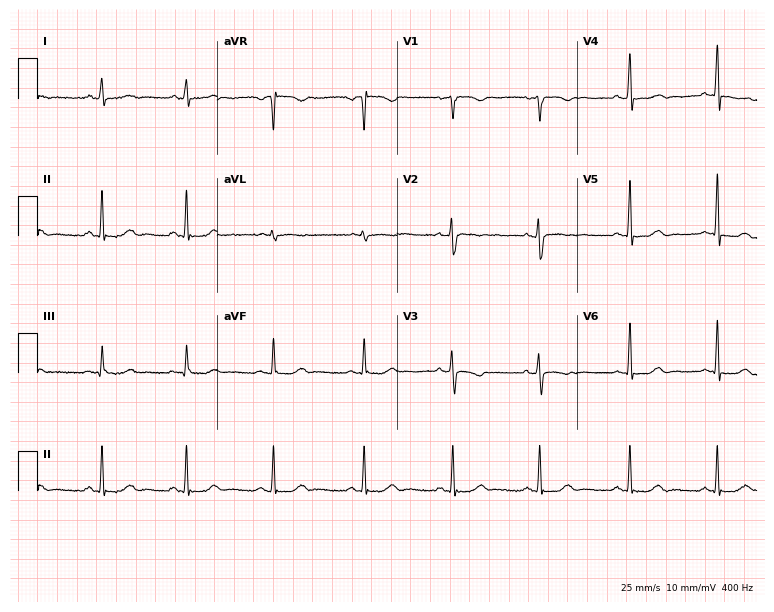
ECG — a woman, 27 years old. Screened for six findings — first-degree AV block, right bundle branch block (RBBB), left bundle branch block (LBBB), sinus bradycardia, atrial fibrillation (AF), sinus tachycardia — none is recorded. Other findings, if any, are not listed.